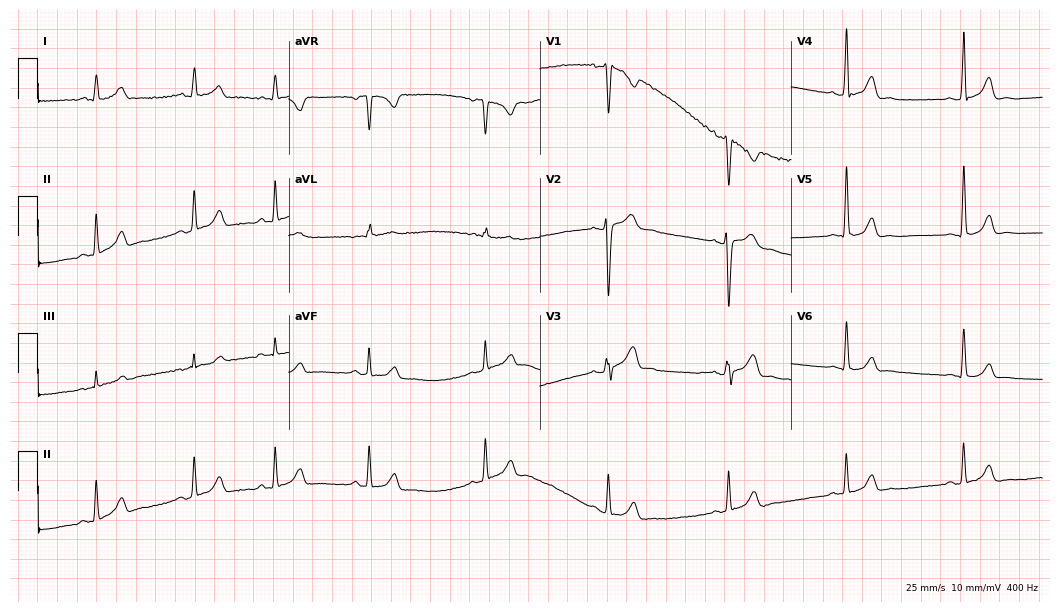
Resting 12-lead electrocardiogram (10.2-second recording at 400 Hz). Patient: a man, 21 years old. None of these six findings is recorded: first-degree AV block, right bundle branch block, left bundle branch block, sinus bradycardia, atrial fibrillation, sinus tachycardia. Findings outside these six are not listed.